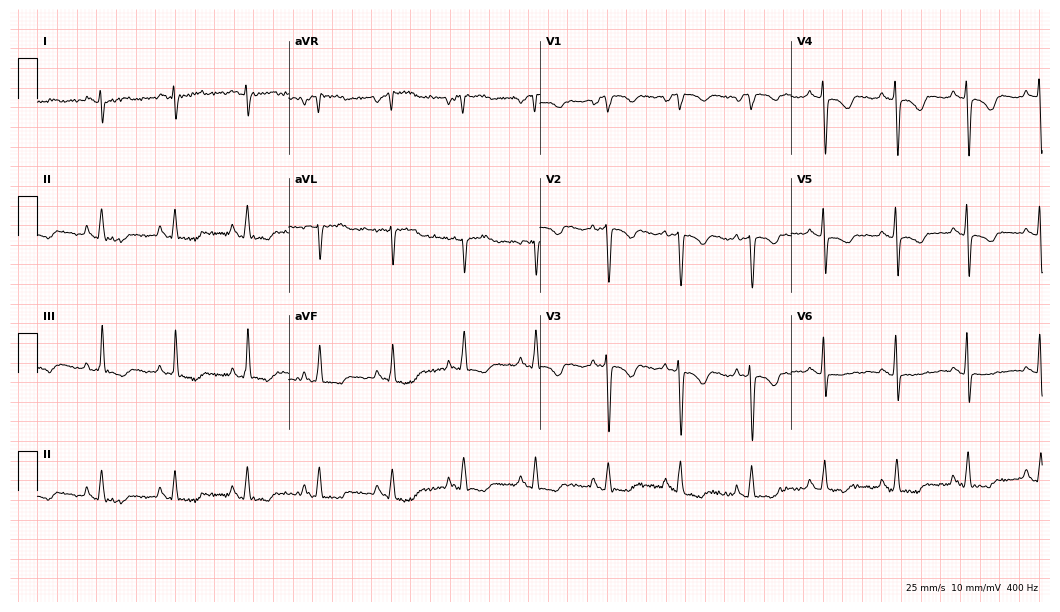
Standard 12-lead ECG recorded from a woman, 63 years old (10.2-second recording at 400 Hz). None of these six findings is recorded: first-degree AV block, right bundle branch block (RBBB), left bundle branch block (LBBB), sinus bradycardia, atrial fibrillation (AF), sinus tachycardia.